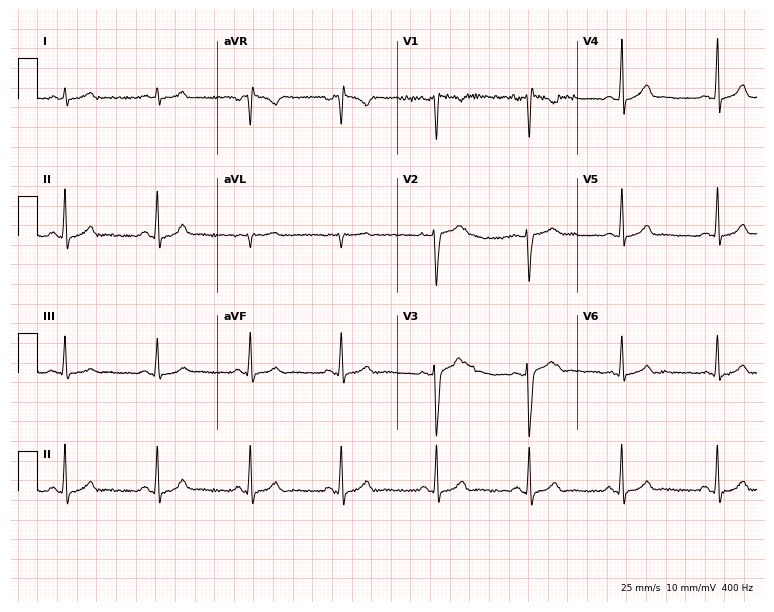
Electrocardiogram (7.3-second recording at 400 Hz), a woman, 21 years old. Of the six screened findings (first-degree AV block, right bundle branch block (RBBB), left bundle branch block (LBBB), sinus bradycardia, atrial fibrillation (AF), sinus tachycardia), none is recorded.